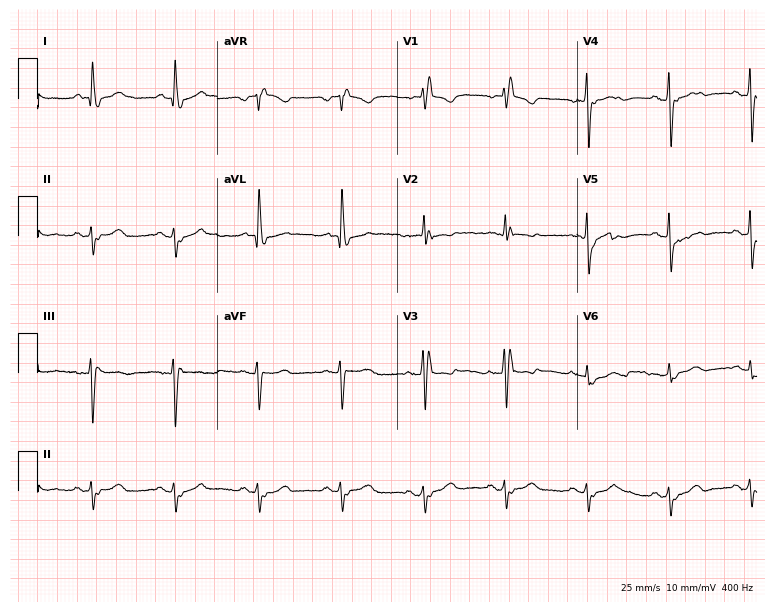
ECG (7.3-second recording at 400 Hz) — a woman, 78 years old. Findings include right bundle branch block (RBBB).